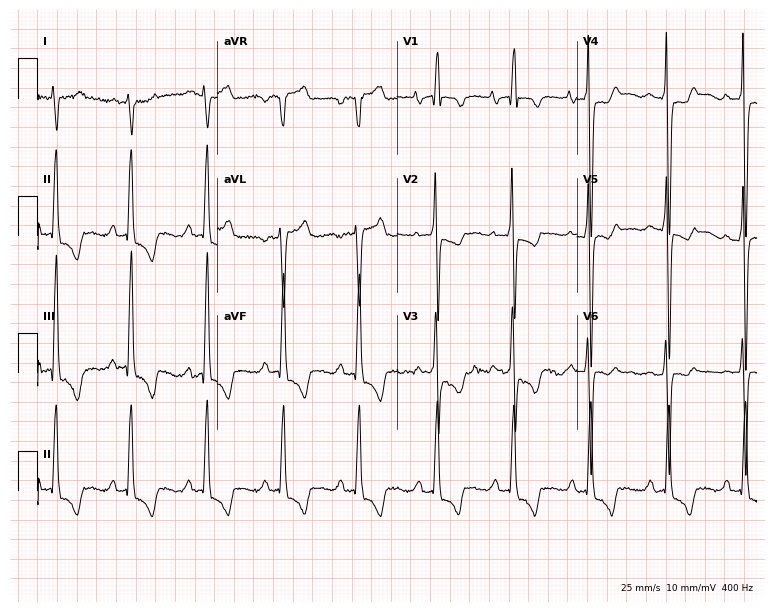
12-lead ECG (7.3-second recording at 400 Hz) from a 79-year-old woman. Screened for six findings — first-degree AV block, right bundle branch block (RBBB), left bundle branch block (LBBB), sinus bradycardia, atrial fibrillation (AF), sinus tachycardia — none is recorded.